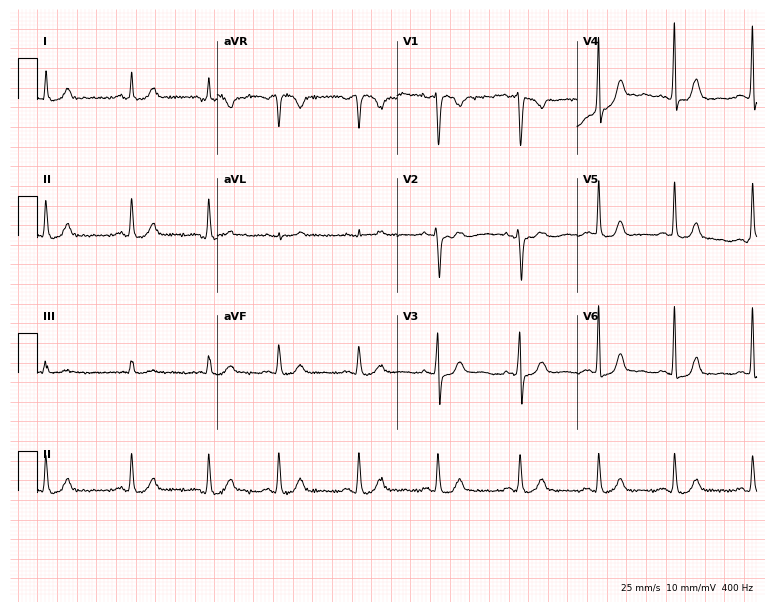
Standard 12-lead ECG recorded from a female, 48 years old (7.3-second recording at 400 Hz). None of these six findings is recorded: first-degree AV block, right bundle branch block, left bundle branch block, sinus bradycardia, atrial fibrillation, sinus tachycardia.